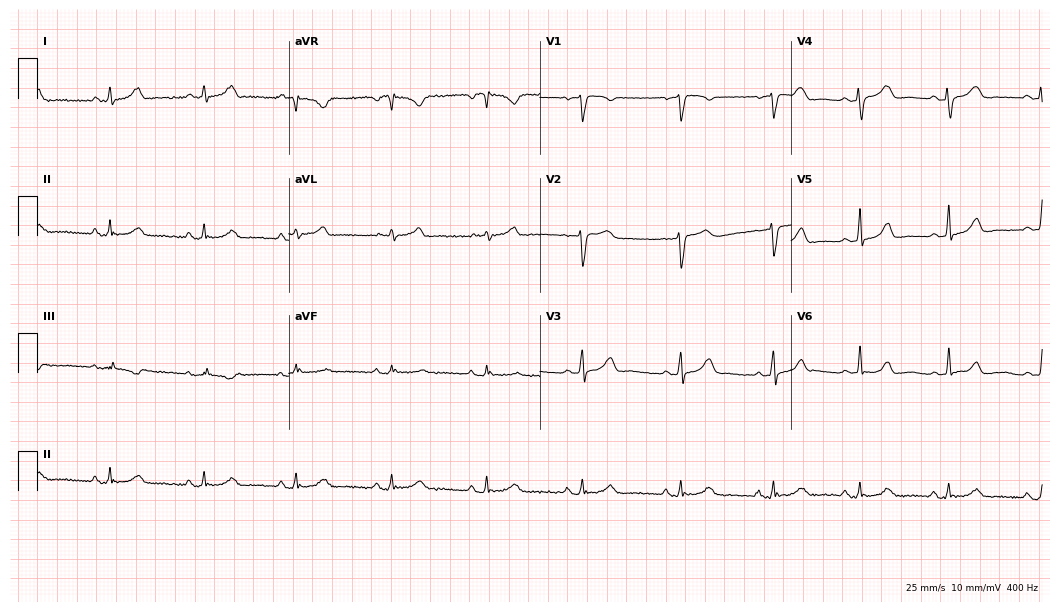
12-lead ECG from a woman, 40 years old. No first-degree AV block, right bundle branch block (RBBB), left bundle branch block (LBBB), sinus bradycardia, atrial fibrillation (AF) or sinus tachycardia recorded for this tracing. Only these six findings were labelled.